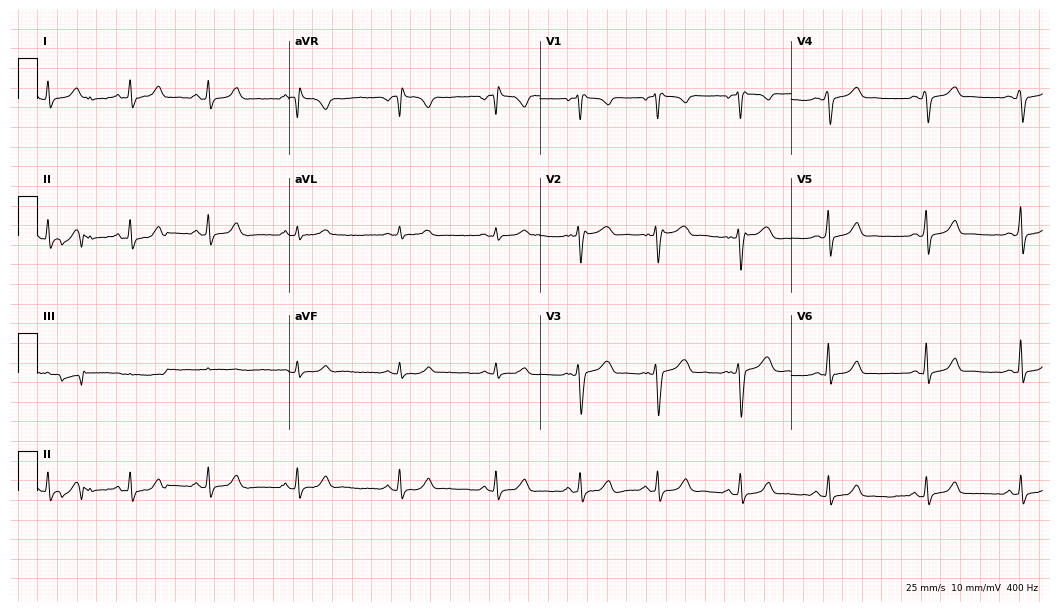
Standard 12-lead ECG recorded from a female, 36 years old (10.2-second recording at 400 Hz). None of these six findings is recorded: first-degree AV block, right bundle branch block (RBBB), left bundle branch block (LBBB), sinus bradycardia, atrial fibrillation (AF), sinus tachycardia. Findings outside these six are not listed.